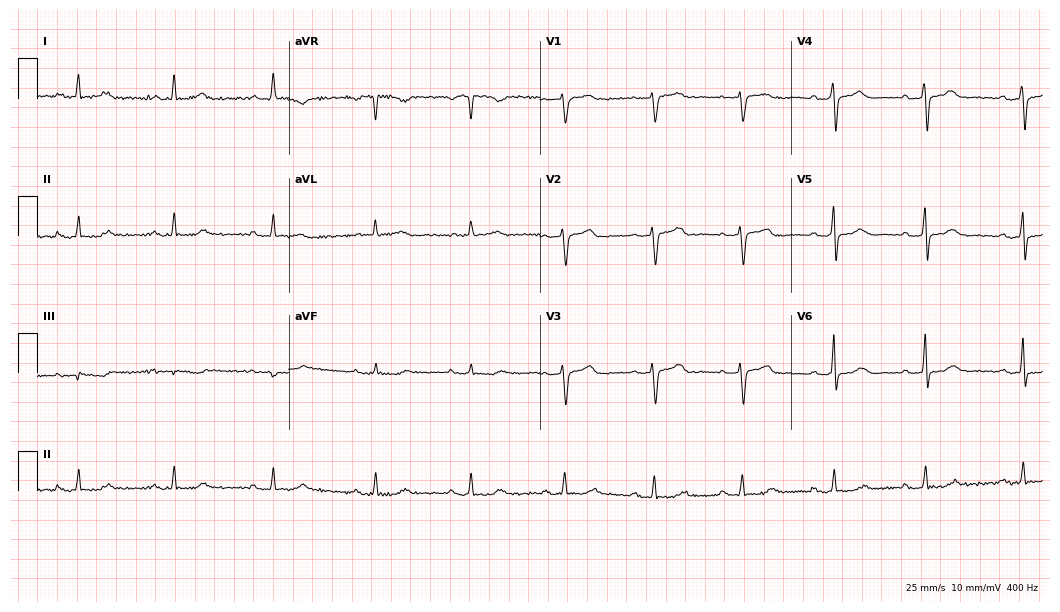
ECG — a female patient, 63 years old. Findings include first-degree AV block.